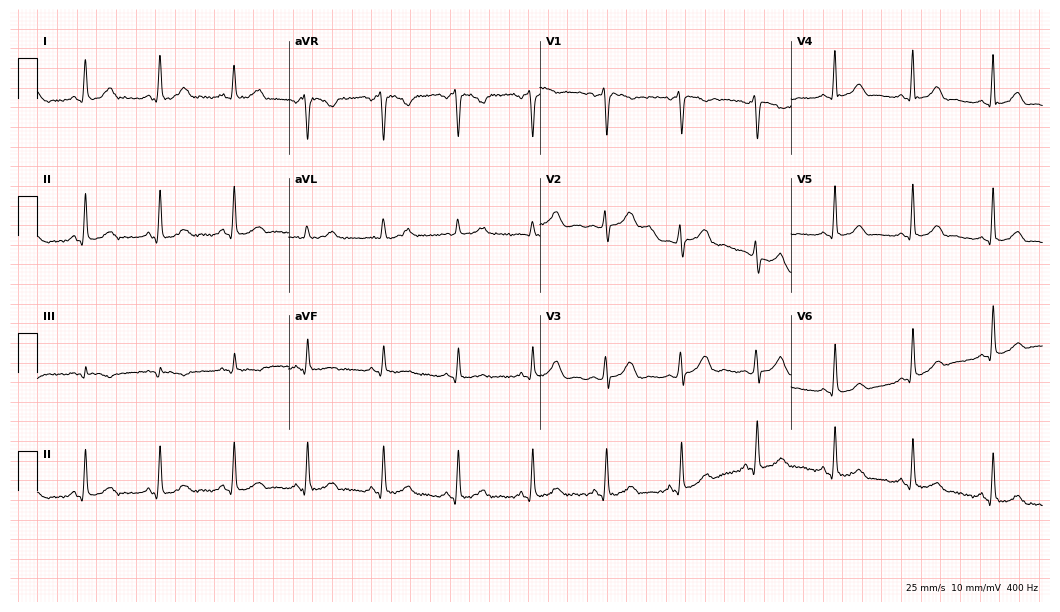
12-lead ECG from a 30-year-old woman. Recorded interpretation: within normal limits.